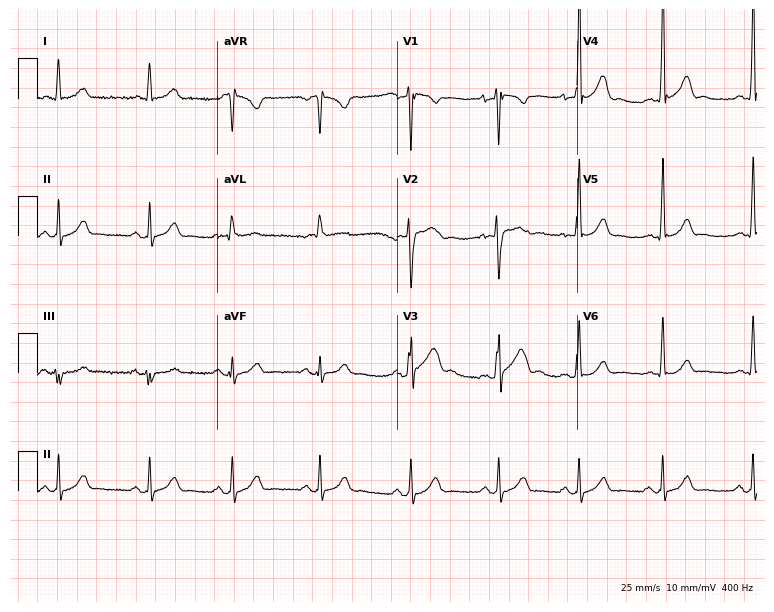
Standard 12-lead ECG recorded from a 25-year-old male. Read as a normal ECG.